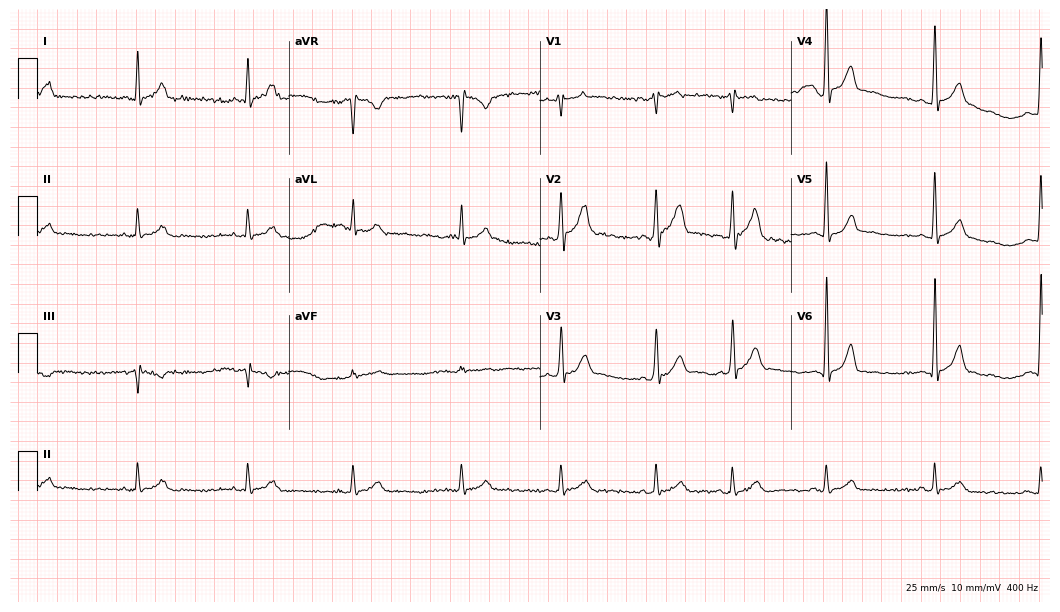
ECG (10.2-second recording at 400 Hz) — a 41-year-old man. Screened for six findings — first-degree AV block, right bundle branch block (RBBB), left bundle branch block (LBBB), sinus bradycardia, atrial fibrillation (AF), sinus tachycardia — none is recorded.